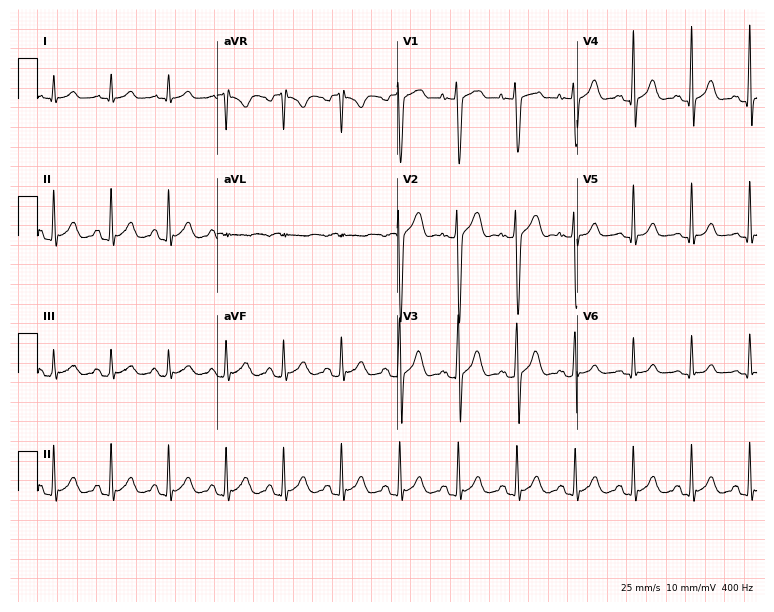
12-lead ECG (7.3-second recording at 400 Hz) from a male patient, 23 years old. Findings include sinus tachycardia (a sinus rate of 100 beats per minute or more).